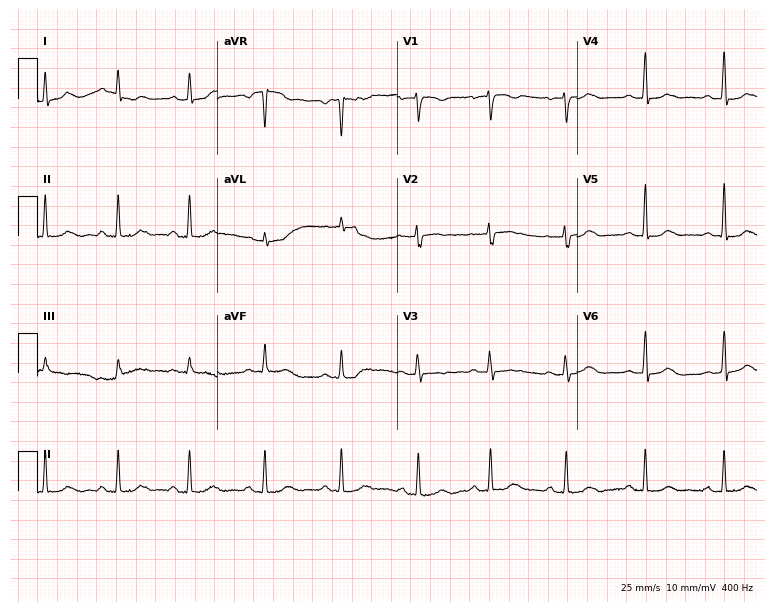
12-lead ECG from a 40-year-old female. Recorded interpretation: within normal limits.